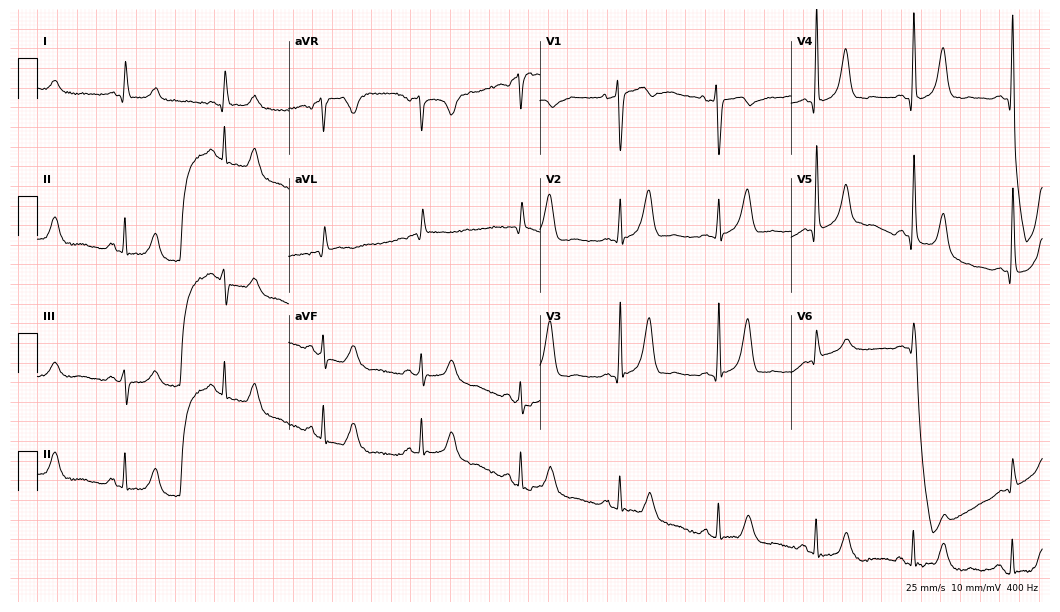
12-lead ECG from a male patient, 69 years old. Recorded interpretation: within normal limits.